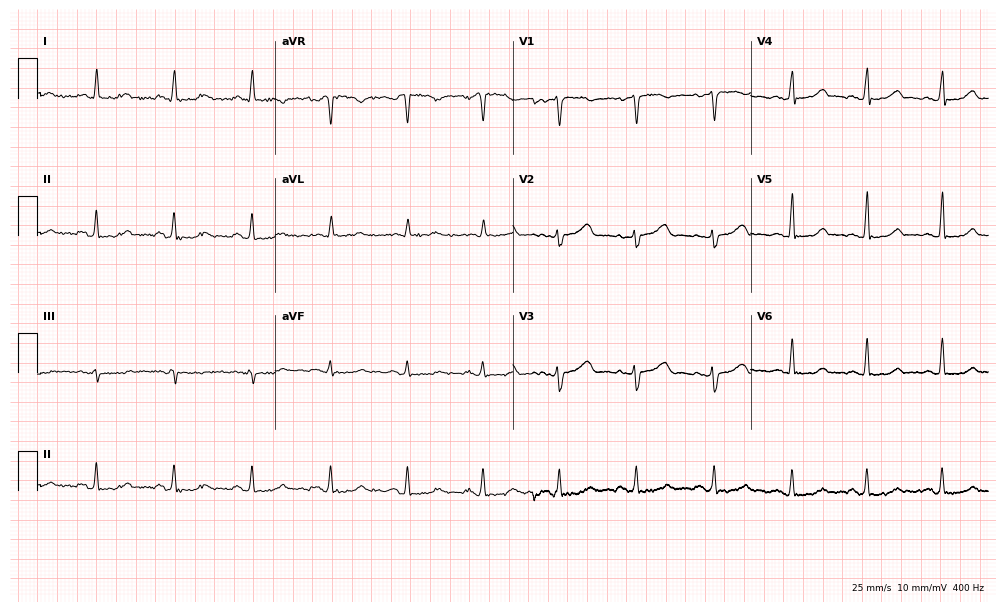
12-lead ECG from a 51-year-old female patient (9.7-second recording at 400 Hz). No first-degree AV block, right bundle branch block, left bundle branch block, sinus bradycardia, atrial fibrillation or sinus tachycardia recorded for this tracing. Other findings, if any, are not listed.